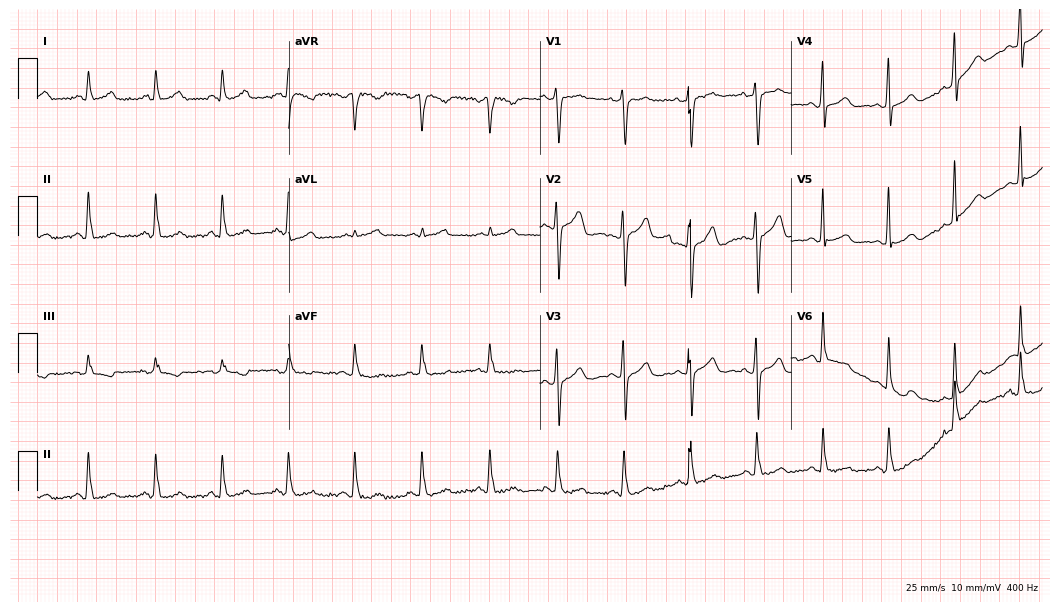
12-lead ECG (10.2-second recording at 400 Hz) from a female patient, 68 years old. Labelled as a normal ECG.